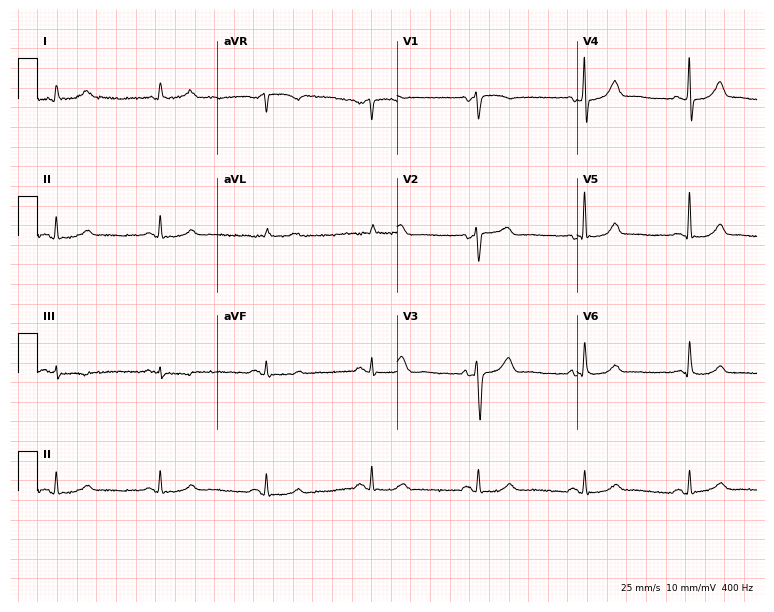
ECG — a 77-year-old man. Screened for six findings — first-degree AV block, right bundle branch block, left bundle branch block, sinus bradycardia, atrial fibrillation, sinus tachycardia — none is recorded. Other findings, if any, are not listed.